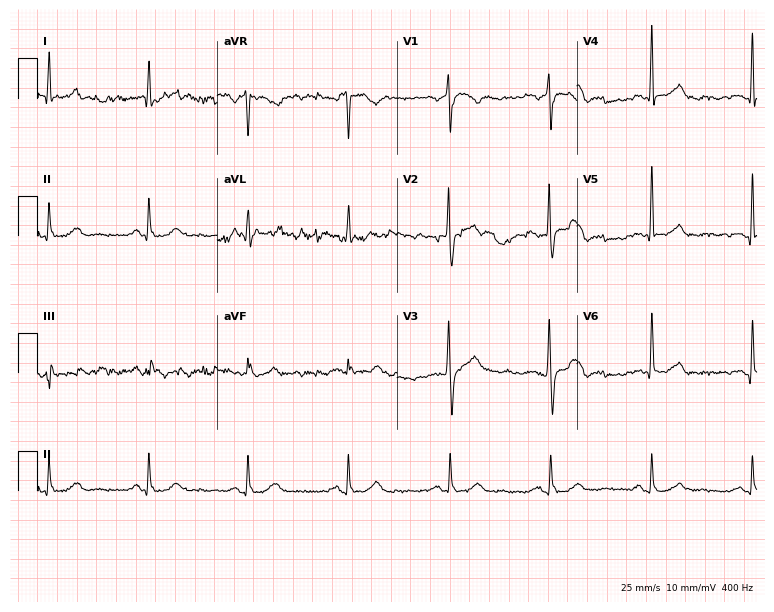
12-lead ECG from a male patient, 63 years old. Screened for six findings — first-degree AV block, right bundle branch block, left bundle branch block, sinus bradycardia, atrial fibrillation, sinus tachycardia — none is recorded. Only these six findings were labelled.